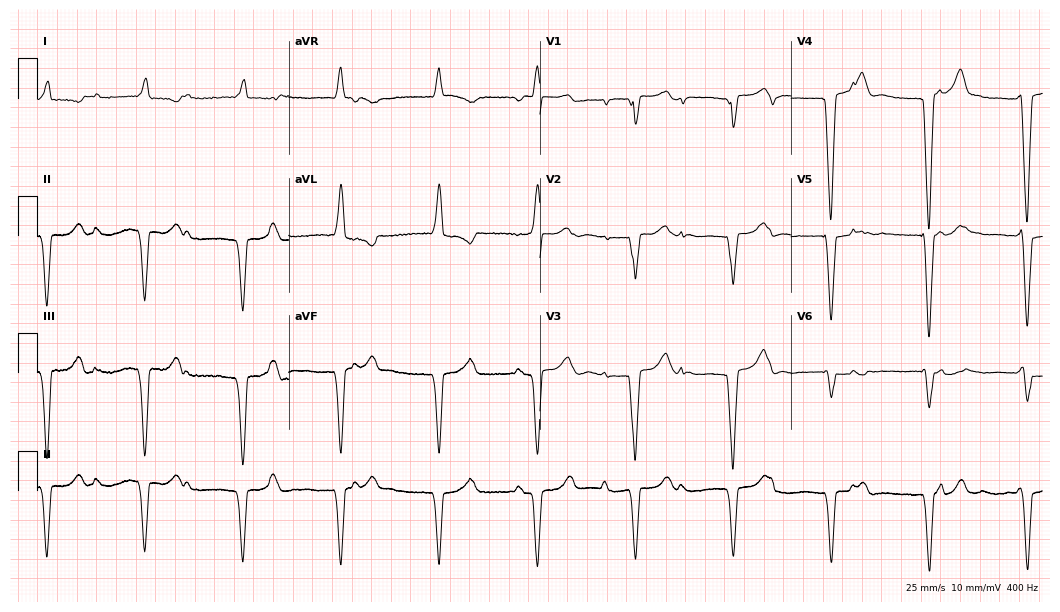
Resting 12-lead electrocardiogram (10.2-second recording at 400 Hz). Patient: a woman, 85 years old. None of these six findings is recorded: first-degree AV block, right bundle branch block (RBBB), left bundle branch block (LBBB), sinus bradycardia, atrial fibrillation (AF), sinus tachycardia.